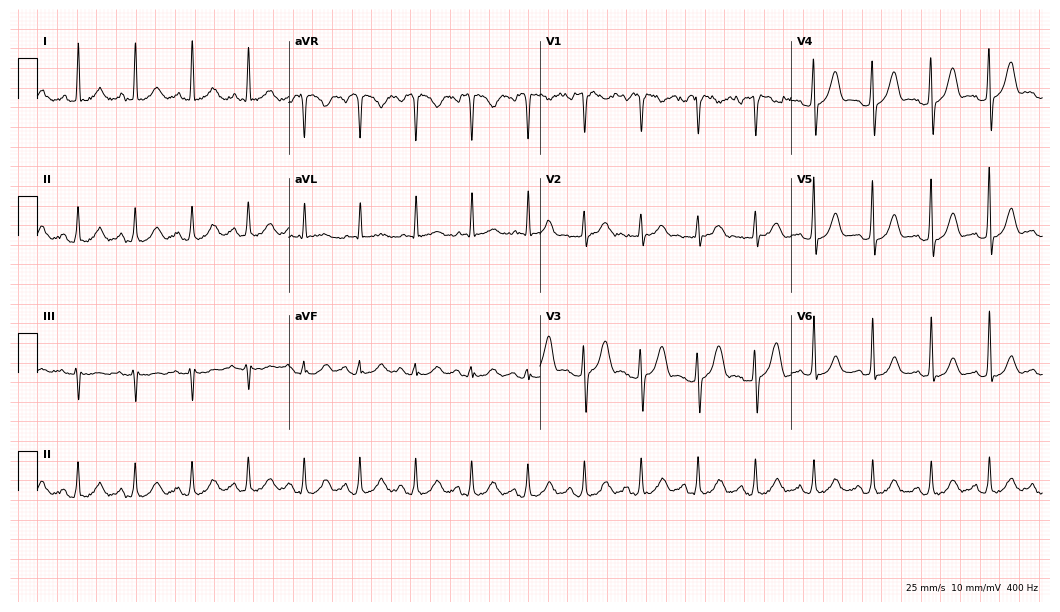
Standard 12-lead ECG recorded from a man, 47 years old (10.2-second recording at 400 Hz). The tracing shows sinus tachycardia (a sinus rate of 100 beats per minute or more).